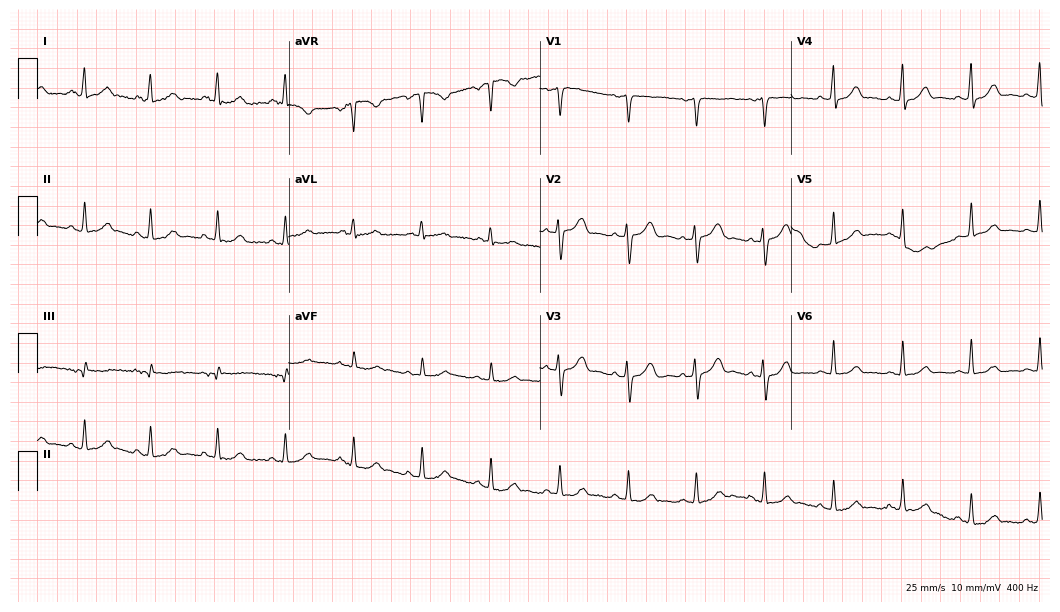
12-lead ECG (10.2-second recording at 400 Hz) from a 52-year-old female patient. Labelled as a normal ECG.